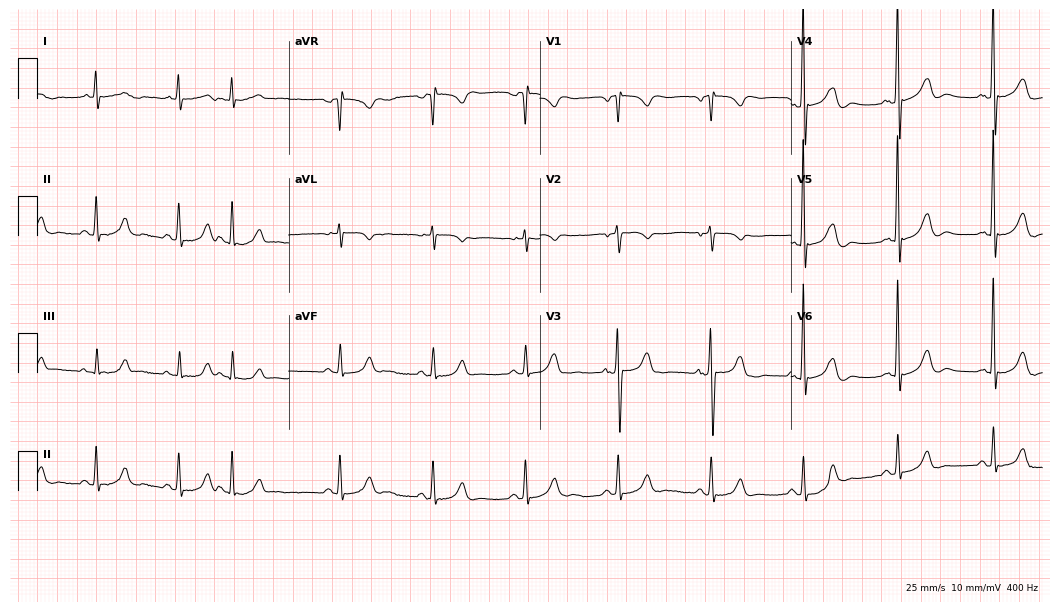
Standard 12-lead ECG recorded from a 66-year-old male patient. None of these six findings is recorded: first-degree AV block, right bundle branch block, left bundle branch block, sinus bradycardia, atrial fibrillation, sinus tachycardia. Other findings, if any, are not listed.